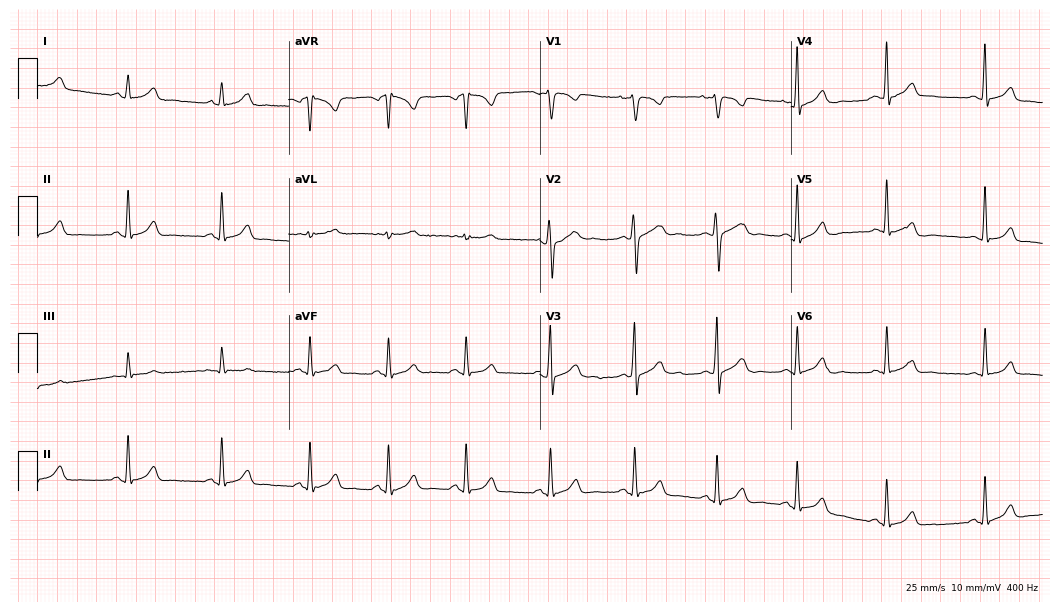
Standard 12-lead ECG recorded from a woman, 27 years old (10.2-second recording at 400 Hz). Read as a normal ECG.